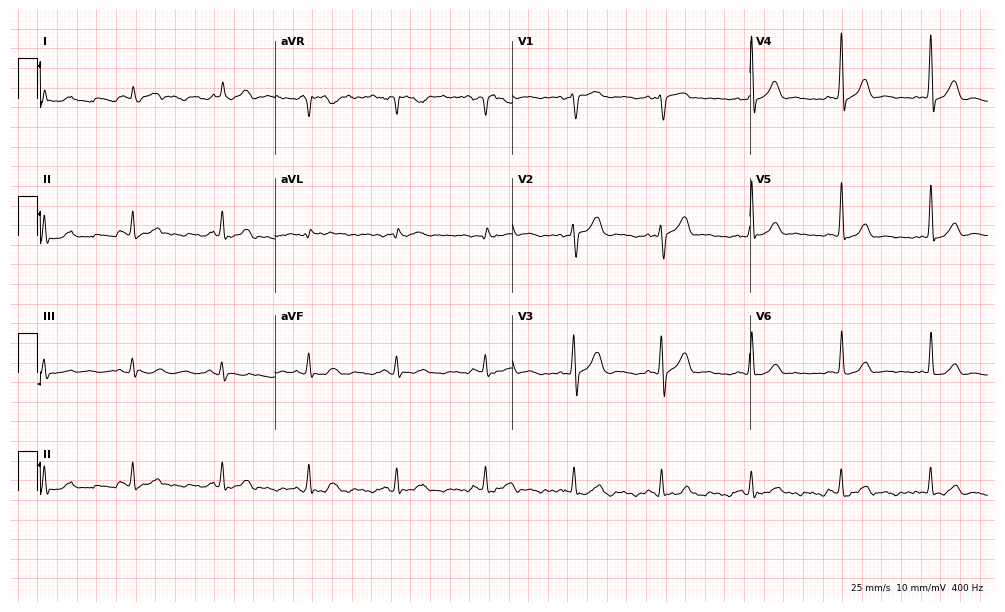
12-lead ECG from a 75-year-old man. No first-degree AV block, right bundle branch block, left bundle branch block, sinus bradycardia, atrial fibrillation or sinus tachycardia recorded for this tracing. Only these six findings were labelled.